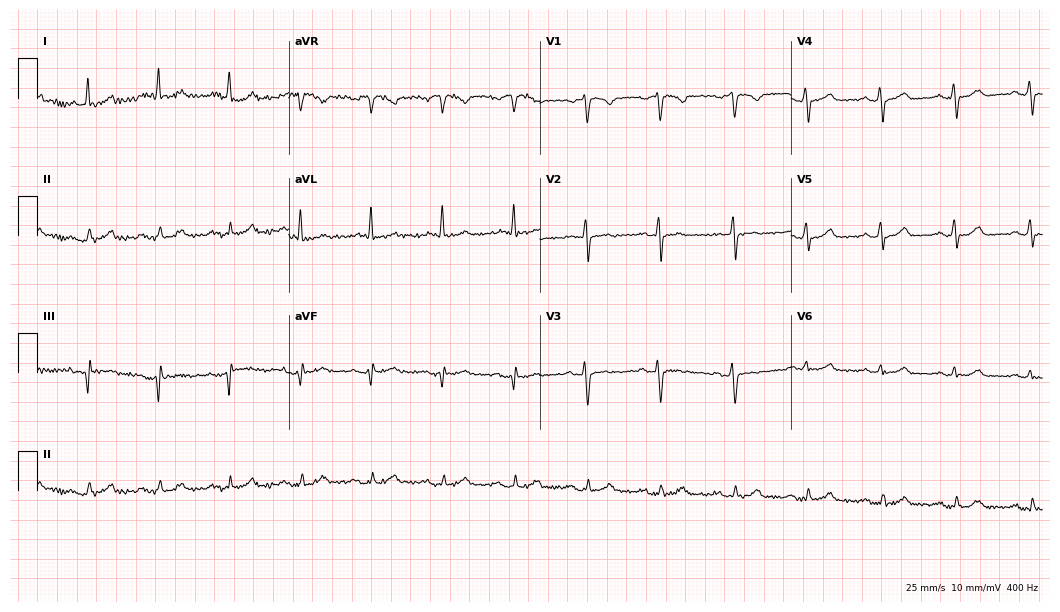
12-lead ECG (10.2-second recording at 400 Hz) from a 66-year-old male patient. Labelled as a normal ECG.